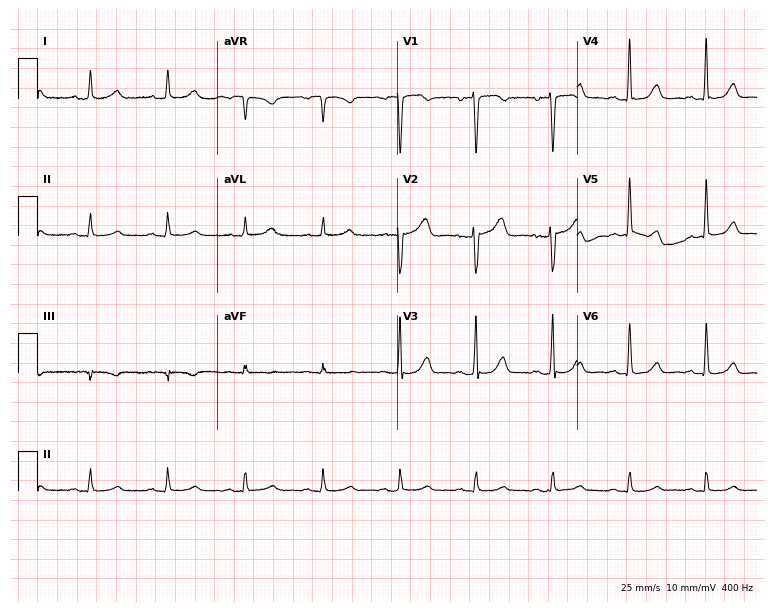
12-lead ECG from a 62-year-old woman. Recorded interpretation: within normal limits.